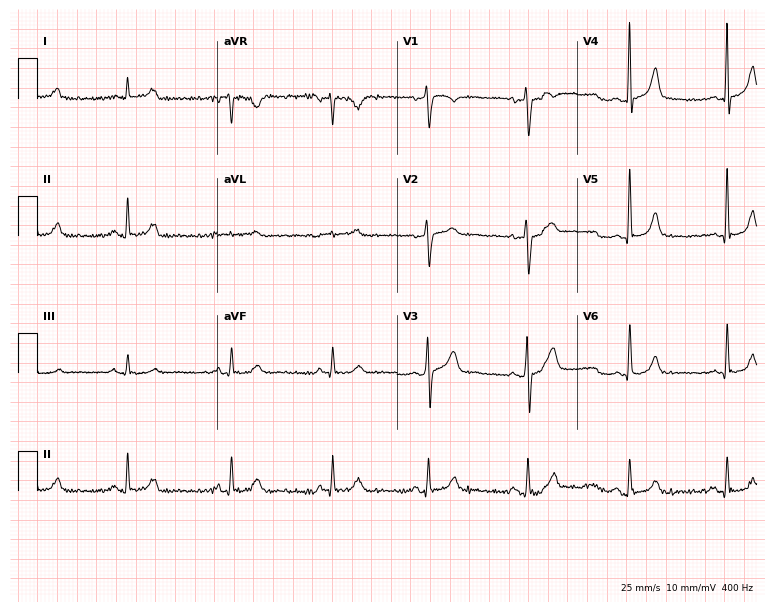
Standard 12-lead ECG recorded from a male, 38 years old (7.3-second recording at 400 Hz). Read as a normal ECG.